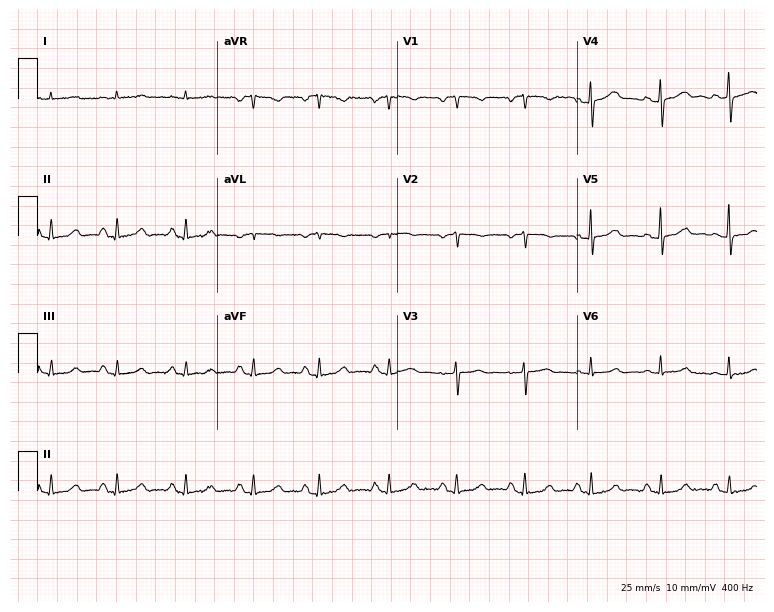
12-lead ECG from a male patient, 85 years old. No first-degree AV block, right bundle branch block (RBBB), left bundle branch block (LBBB), sinus bradycardia, atrial fibrillation (AF) or sinus tachycardia recorded for this tracing.